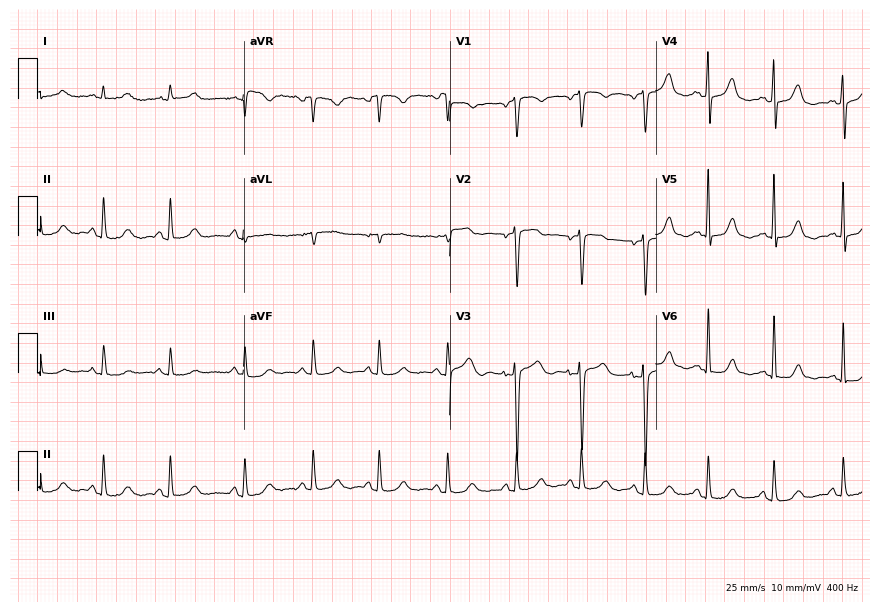
Standard 12-lead ECG recorded from a 73-year-old woman. Read as a normal ECG.